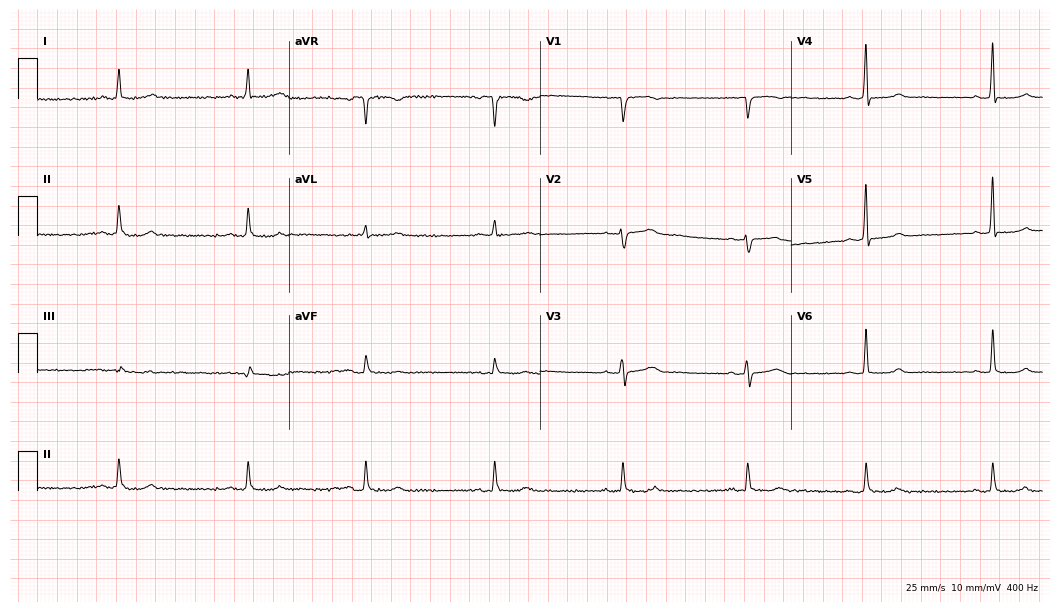
12-lead ECG from a 54-year-old woman (10.2-second recording at 400 Hz). Shows sinus bradycardia (a sinus rate of 50 beats per minute or less).